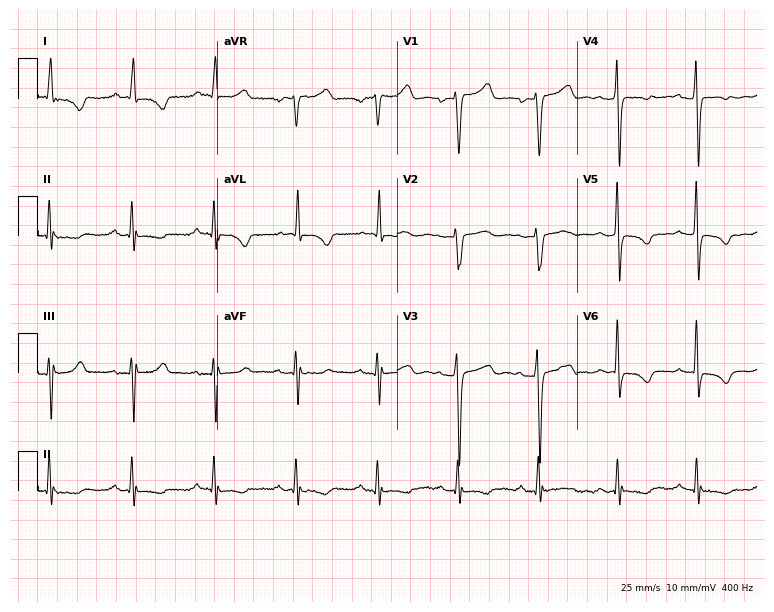
Standard 12-lead ECG recorded from a female, 64 years old. None of these six findings is recorded: first-degree AV block, right bundle branch block, left bundle branch block, sinus bradycardia, atrial fibrillation, sinus tachycardia. Other findings, if any, are not listed.